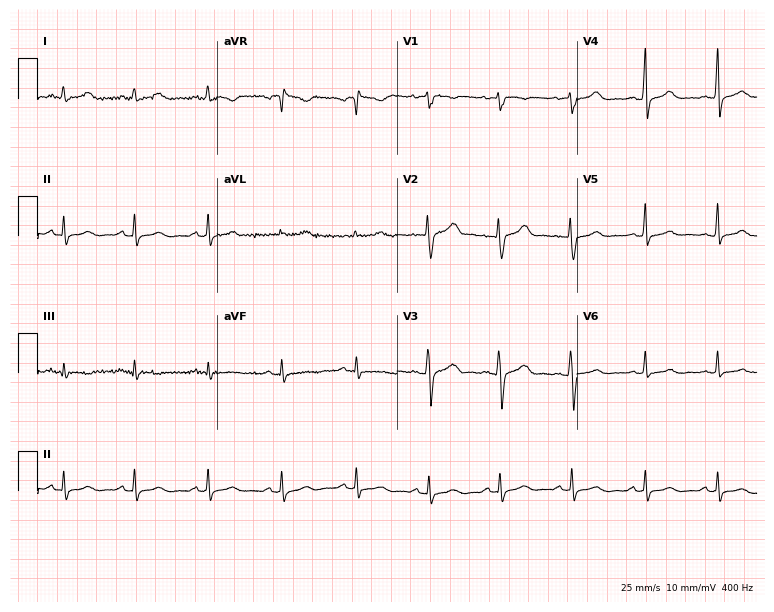
Standard 12-lead ECG recorded from a woman, 30 years old (7.3-second recording at 400 Hz). None of these six findings is recorded: first-degree AV block, right bundle branch block (RBBB), left bundle branch block (LBBB), sinus bradycardia, atrial fibrillation (AF), sinus tachycardia.